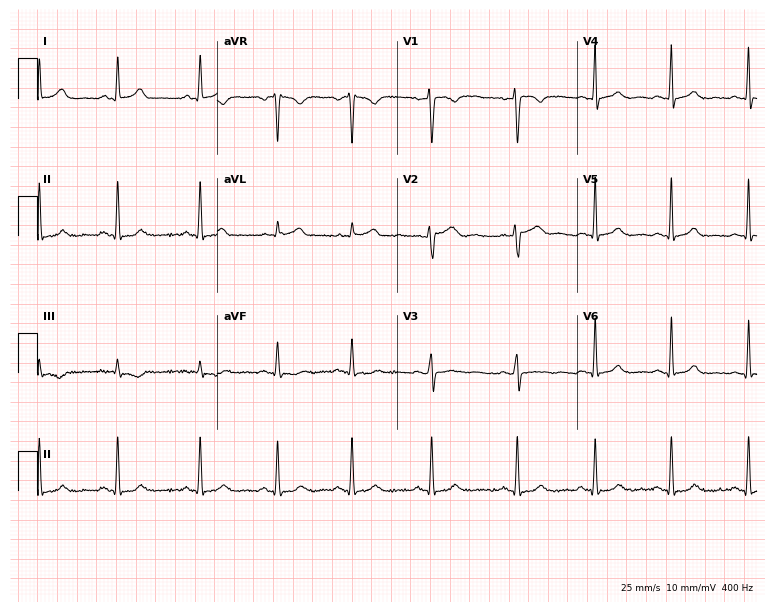
12-lead ECG from a 30-year-old female patient. Labelled as a normal ECG.